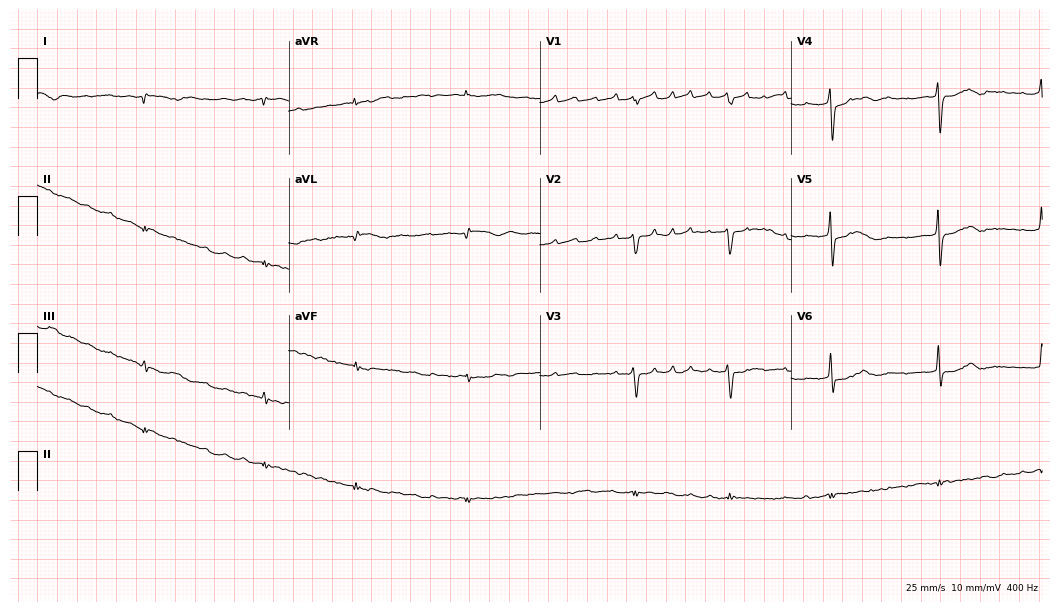
ECG — a woman, 69 years old. Screened for six findings — first-degree AV block, right bundle branch block, left bundle branch block, sinus bradycardia, atrial fibrillation, sinus tachycardia — none is recorded.